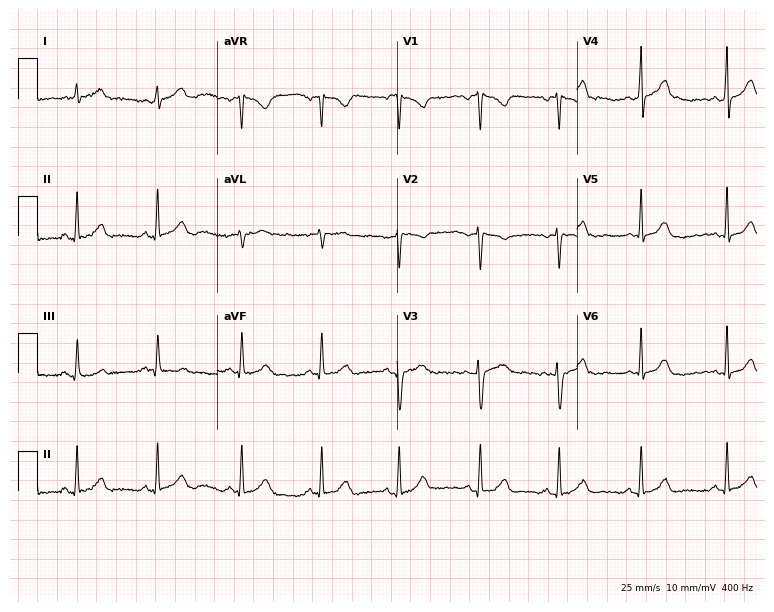
Standard 12-lead ECG recorded from a 22-year-old female. None of these six findings is recorded: first-degree AV block, right bundle branch block (RBBB), left bundle branch block (LBBB), sinus bradycardia, atrial fibrillation (AF), sinus tachycardia. Findings outside these six are not listed.